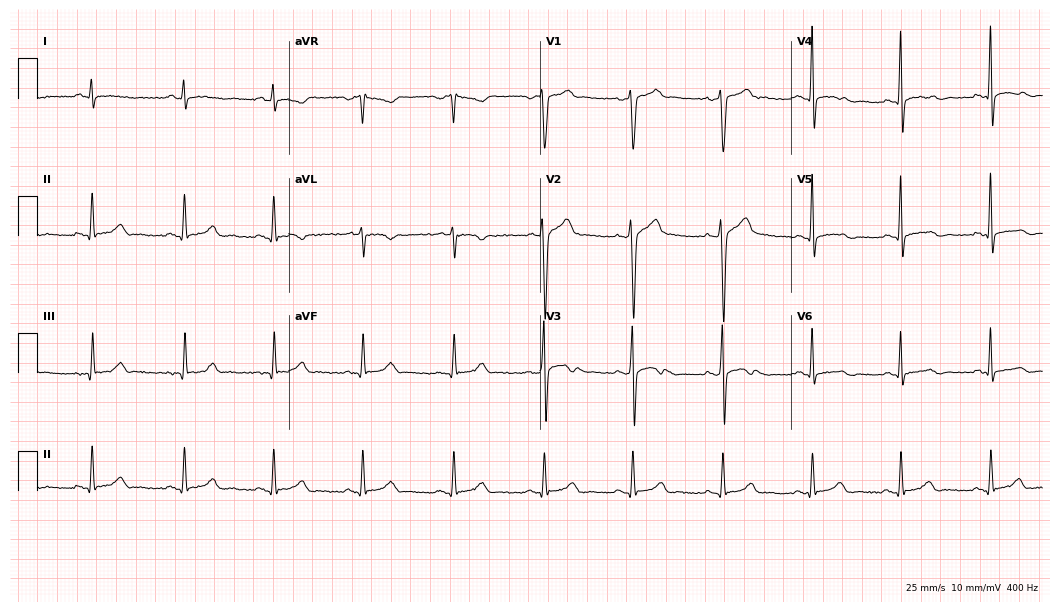
ECG — a 37-year-old male. Screened for six findings — first-degree AV block, right bundle branch block (RBBB), left bundle branch block (LBBB), sinus bradycardia, atrial fibrillation (AF), sinus tachycardia — none is recorded. Findings outside these six are not listed.